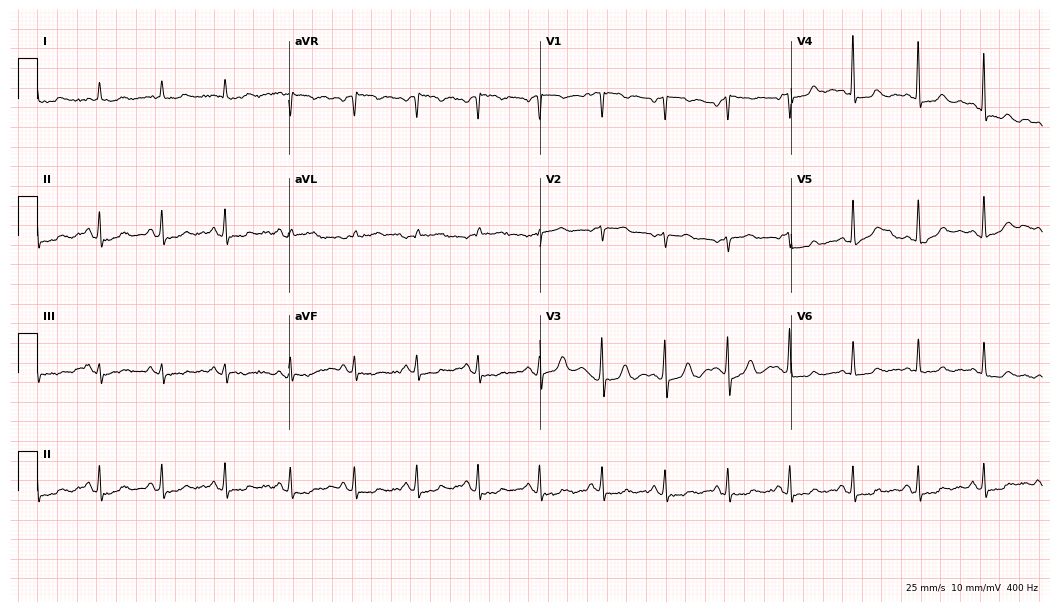
Resting 12-lead electrocardiogram (10.2-second recording at 400 Hz). Patient: a 71-year-old female. None of these six findings is recorded: first-degree AV block, right bundle branch block, left bundle branch block, sinus bradycardia, atrial fibrillation, sinus tachycardia. Other findings, if any, are not listed.